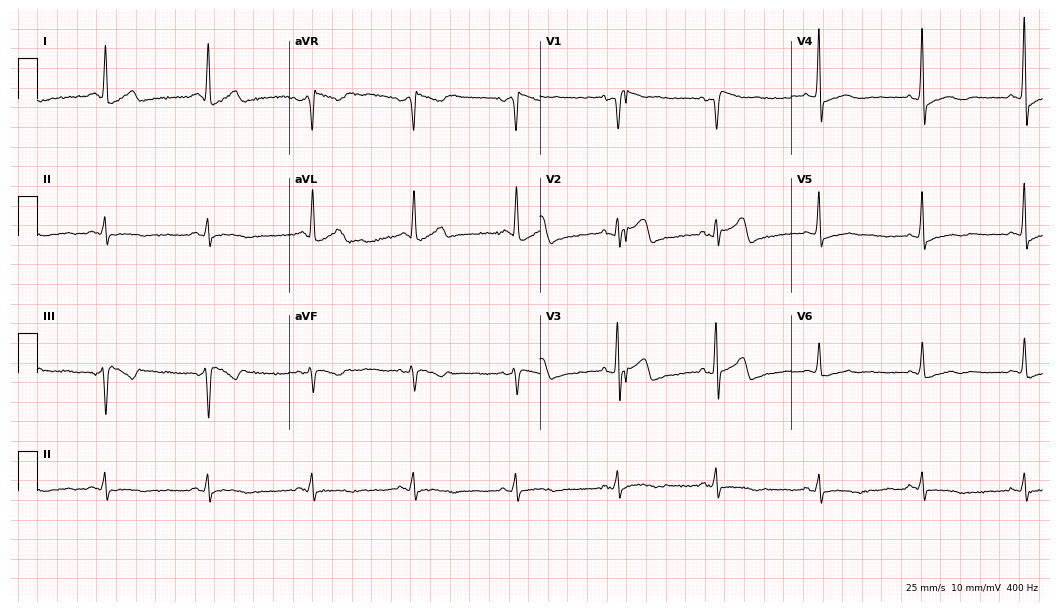
12-lead ECG (10.2-second recording at 400 Hz) from a 42-year-old man. Screened for six findings — first-degree AV block, right bundle branch block, left bundle branch block, sinus bradycardia, atrial fibrillation, sinus tachycardia — none is recorded. Findings outside these six are not listed.